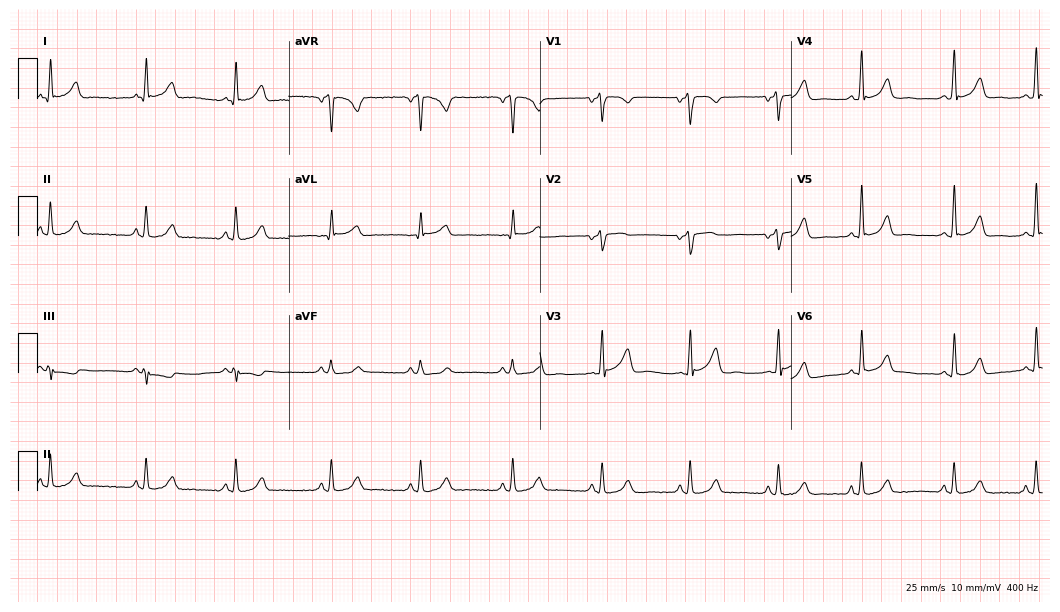
Standard 12-lead ECG recorded from a woman, 37 years old (10.2-second recording at 400 Hz). Read as a normal ECG.